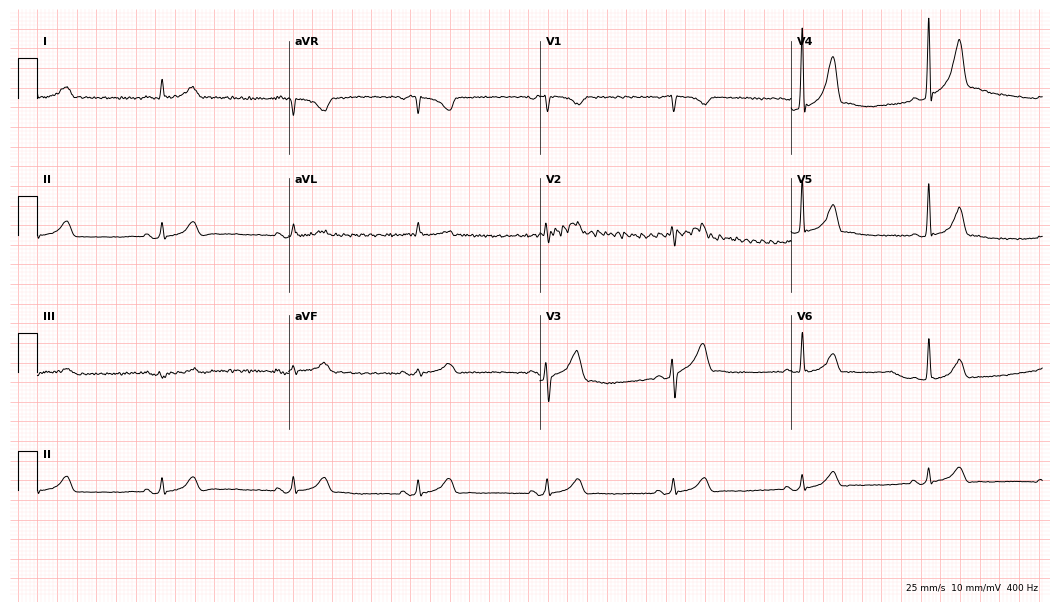
12-lead ECG from a 42-year-old man. Shows sinus bradycardia (a sinus rate of 50 beats per minute or less).